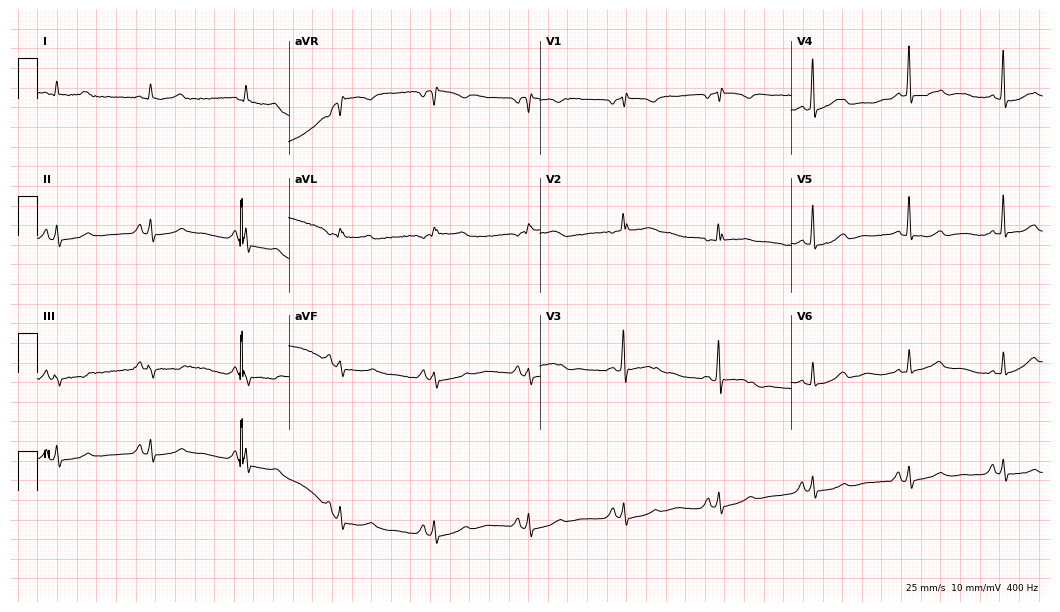
Standard 12-lead ECG recorded from a female, 45 years old (10.2-second recording at 400 Hz). None of these six findings is recorded: first-degree AV block, right bundle branch block, left bundle branch block, sinus bradycardia, atrial fibrillation, sinus tachycardia.